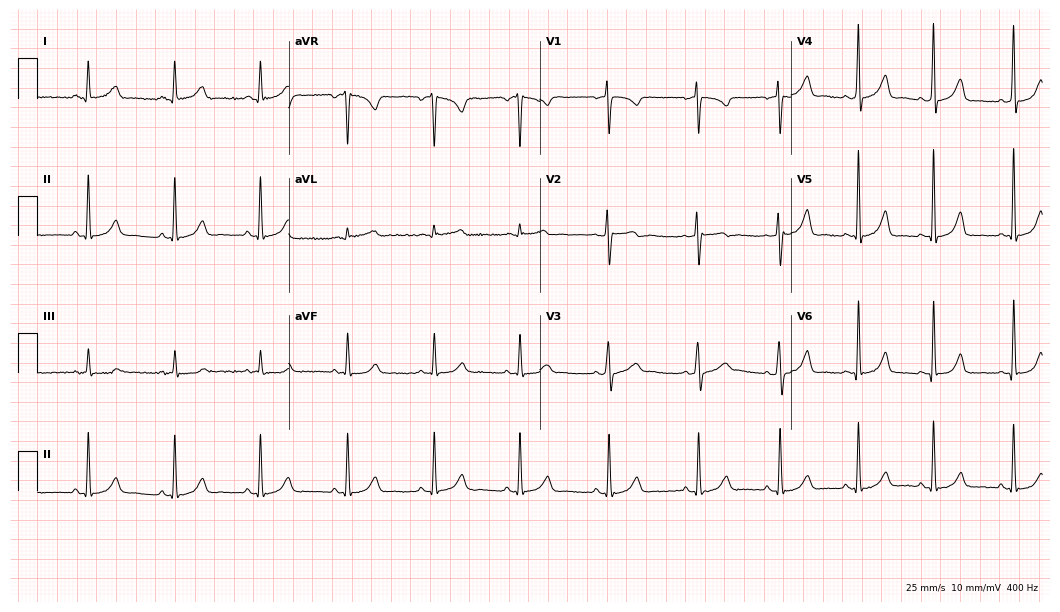
Standard 12-lead ECG recorded from a woman, 25 years old. Read as a normal ECG.